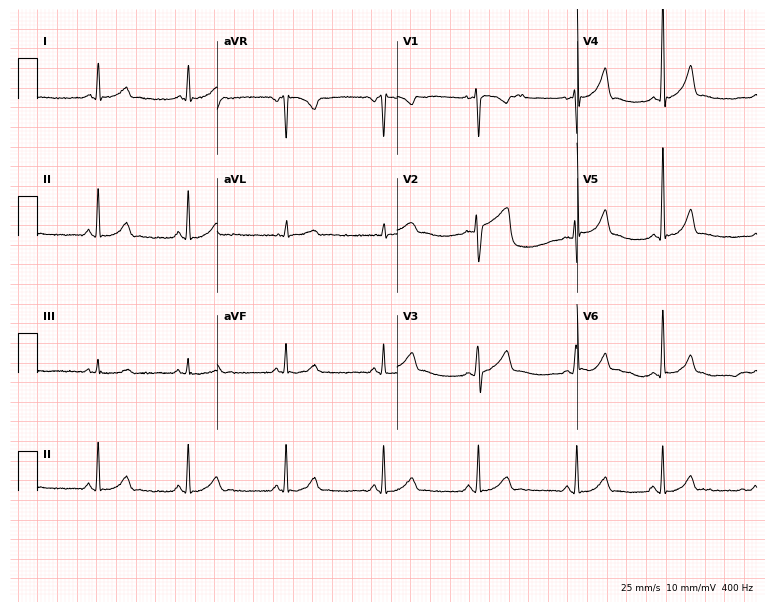
Electrocardiogram (7.3-second recording at 400 Hz), a female, 35 years old. Overall reading on record: normal ECG.